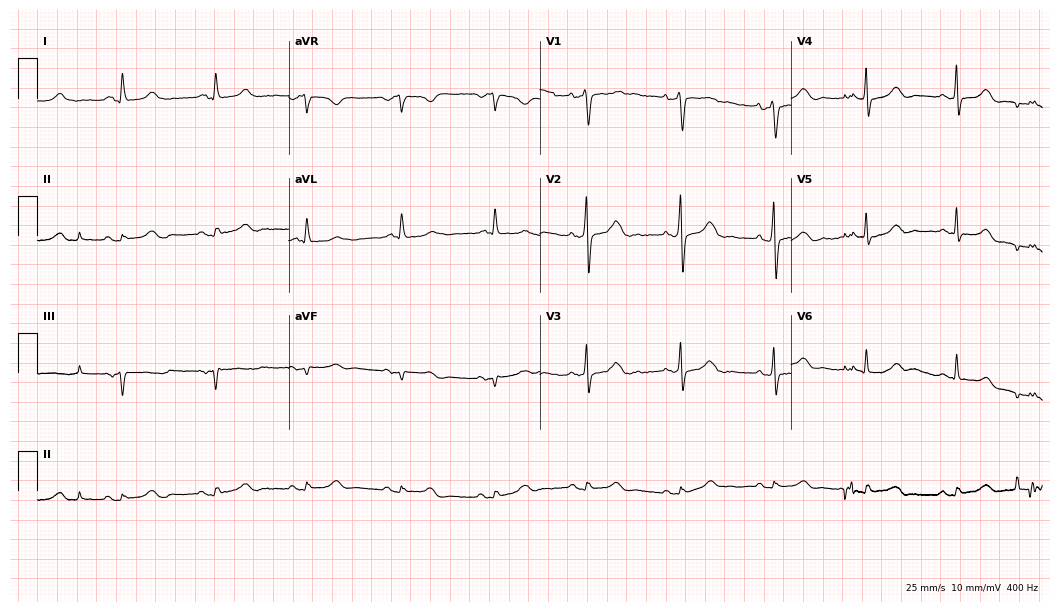
12-lead ECG from a female patient, 66 years old. Labelled as a normal ECG.